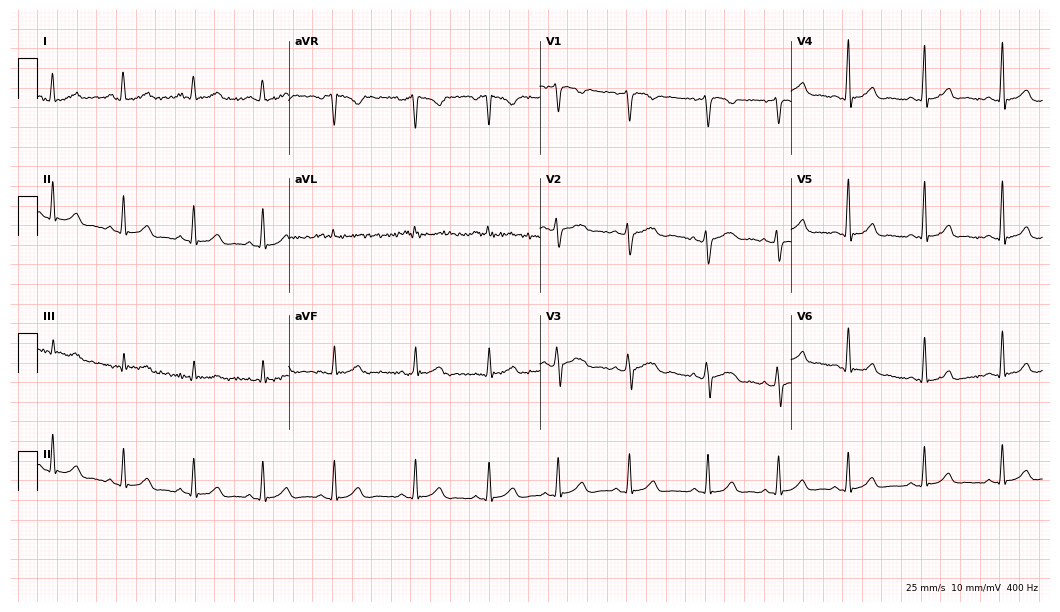
12-lead ECG from a 25-year-old woman. Recorded interpretation: within normal limits.